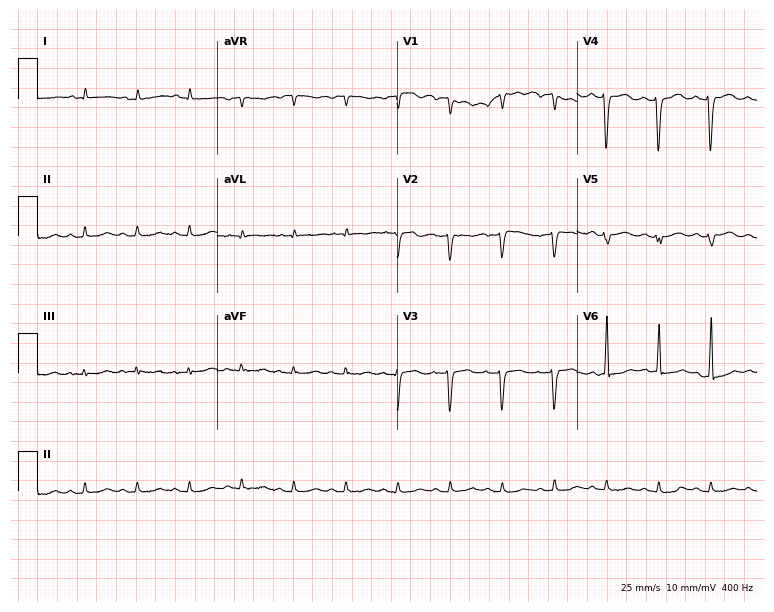
Standard 12-lead ECG recorded from a female patient, 79 years old (7.3-second recording at 400 Hz). The tracing shows sinus tachycardia (a sinus rate of 100 beats per minute or more).